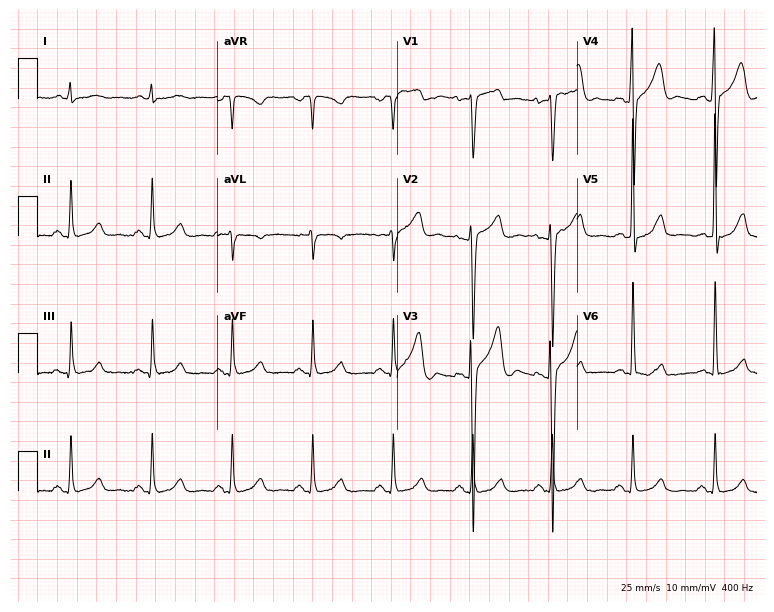
12-lead ECG (7.3-second recording at 400 Hz) from a male patient, 43 years old. Labelled as a normal ECG.